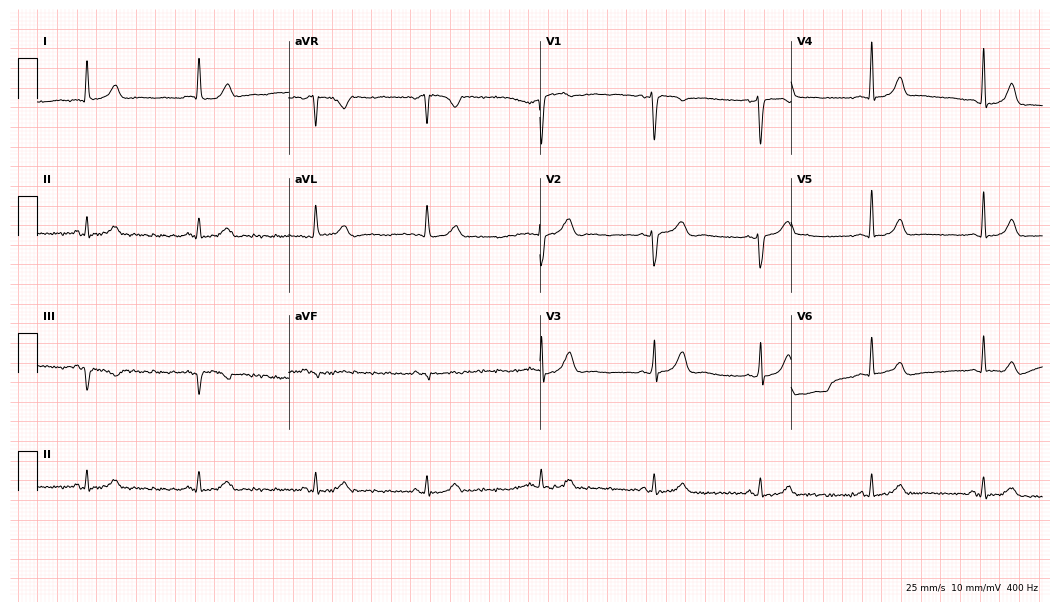
12-lead ECG from a woman, 38 years old (10.2-second recording at 400 Hz). No first-degree AV block, right bundle branch block, left bundle branch block, sinus bradycardia, atrial fibrillation or sinus tachycardia recorded for this tracing.